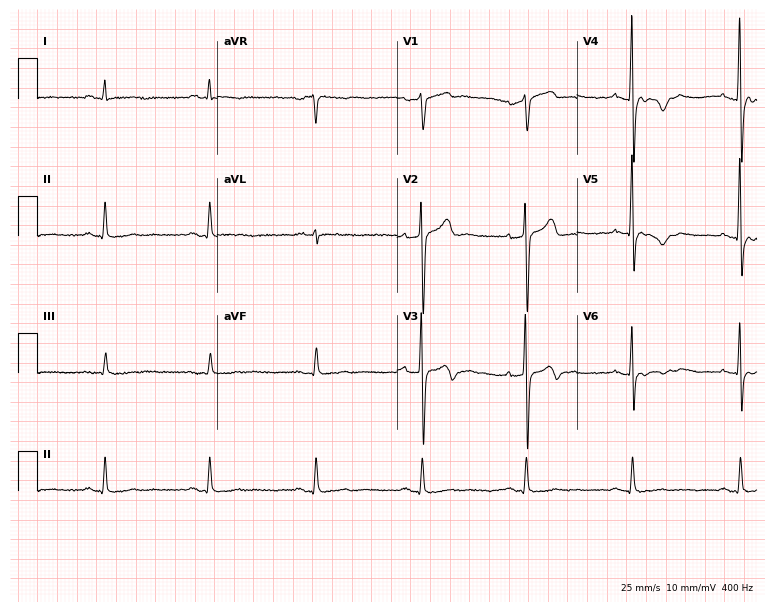
Resting 12-lead electrocardiogram (7.3-second recording at 400 Hz). Patient: a 58-year-old male. None of these six findings is recorded: first-degree AV block, right bundle branch block (RBBB), left bundle branch block (LBBB), sinus bradycardia, atrial fibrillation (AF), sinus tachycardia.